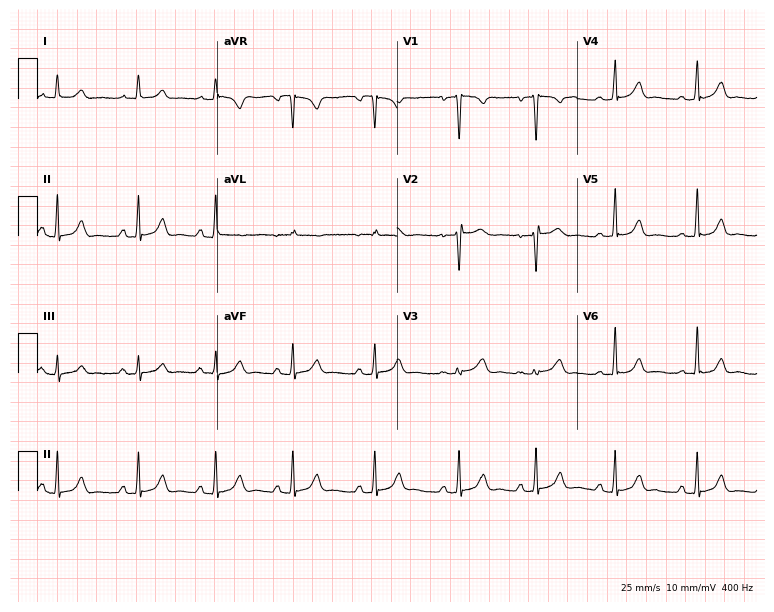
ECG — a woman, 24 years old. Labelled as a normal ECG.